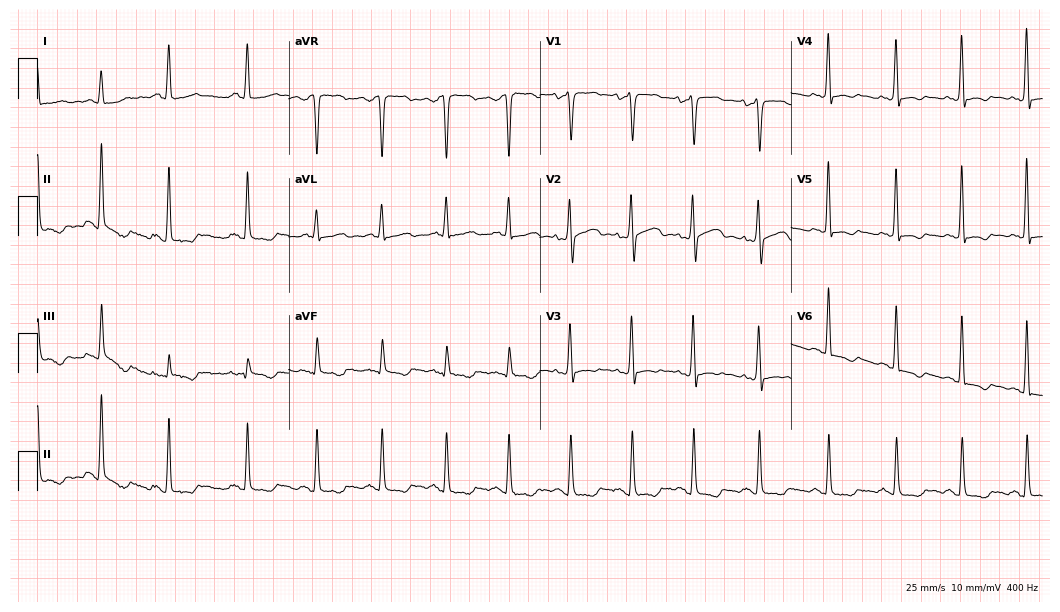
Resting 12-lead electrocardiogram. Patient: a female, 27 years old. None of these six findings is recorded: first-degree AV block, right bundle branch block, left bundle branch block, sinus bradycardia, atrial fibrillation, sinus tachycardia.